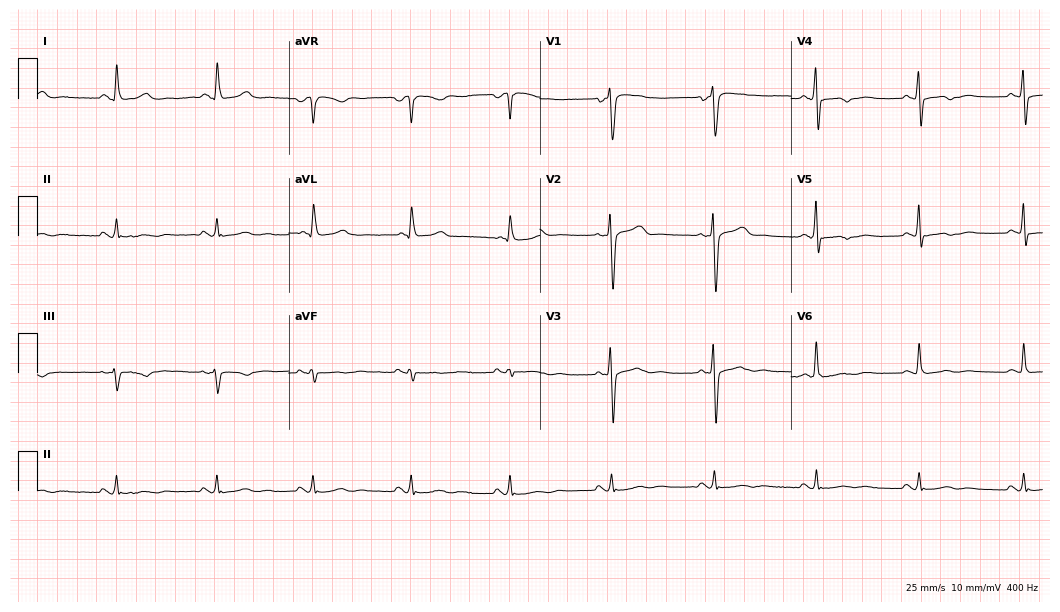
Electrocardiogram, a 73-year-old male patient. Of the six screened findings (first-degree AV block, right bundle branch block (RBBB), left bundle branch block (LBBB), sinus bradycardia, atrial fibrillation (AF), sinus tachycardia), none is recorded.